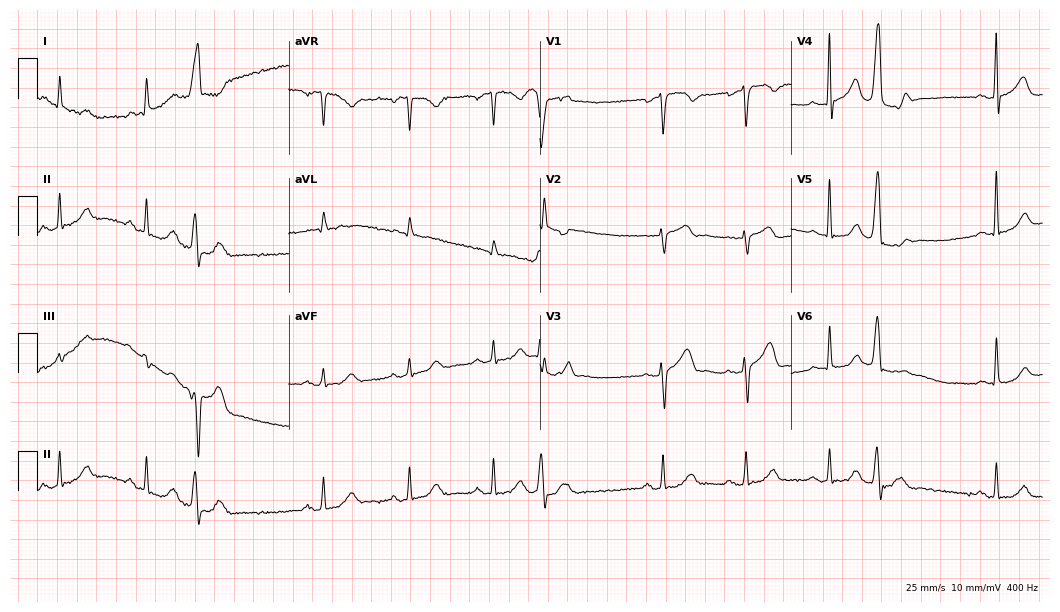
12-lead ECG from a man, 68 years old (10.2-second recording at 400 Hz). Recorded interpretation: within normal limits.